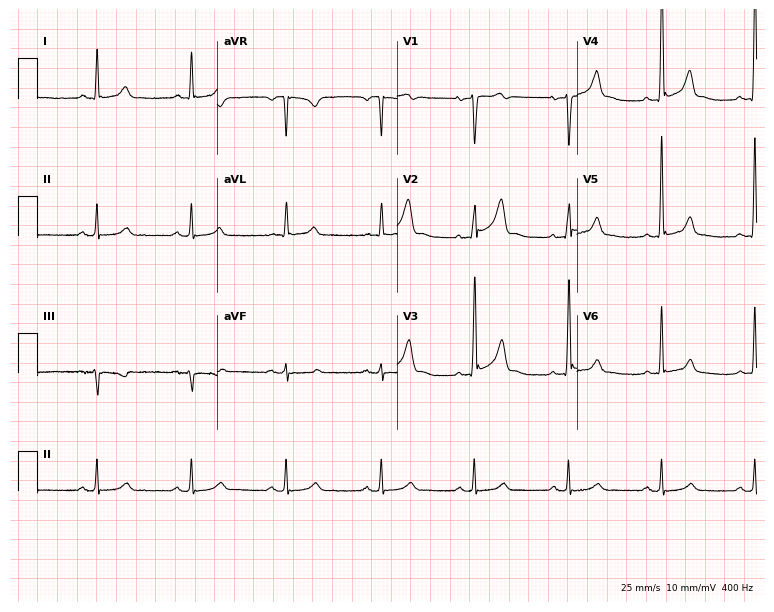
ECG (7.3-second recording at 400 Hz) — a male patient, 73 years old. Labelled as a normal ECG.